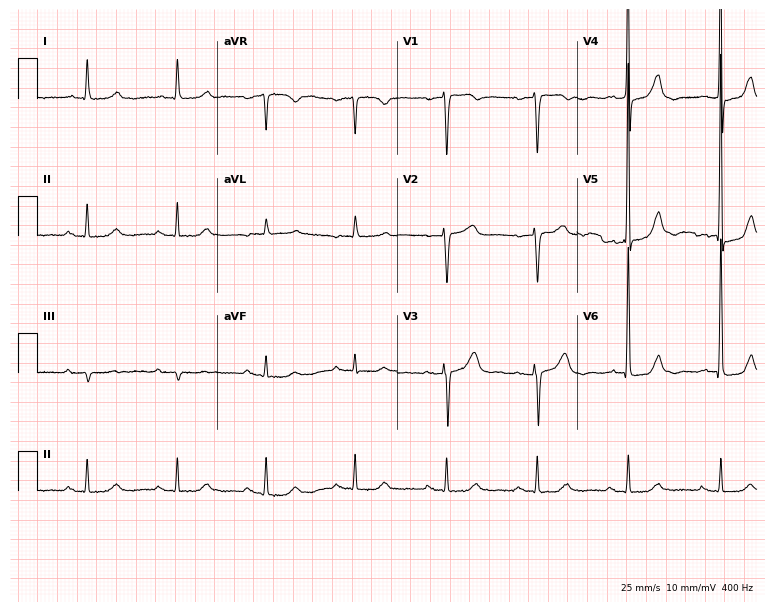
Standard 12-lead ECG recorded from a man, 82 years old. None of these six findings is recorded: first-degree AV block, right bundle branch block, left bundle branch block, sinus bradycardia, atrial fibrillation, sinus tachycardia.